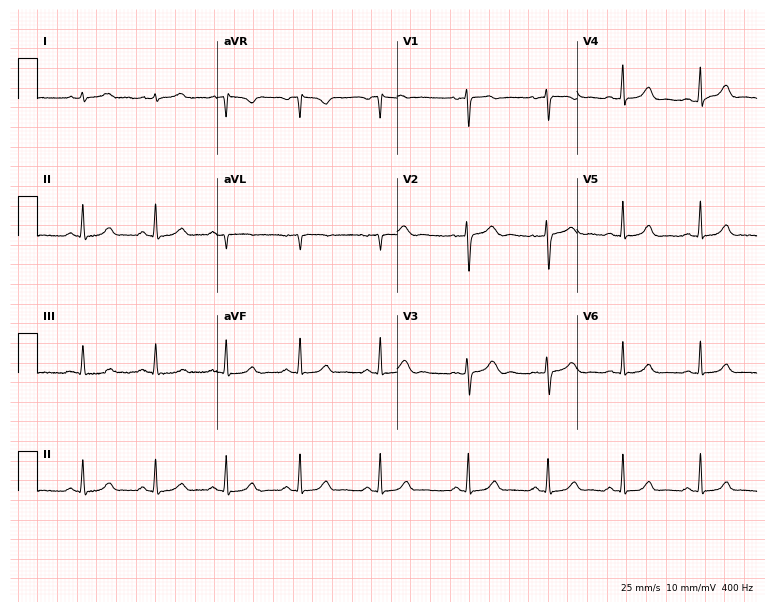
ECG (7.3-second recording at 400 Hz) — a female, 35 years old. Labelled as a normal ECG.